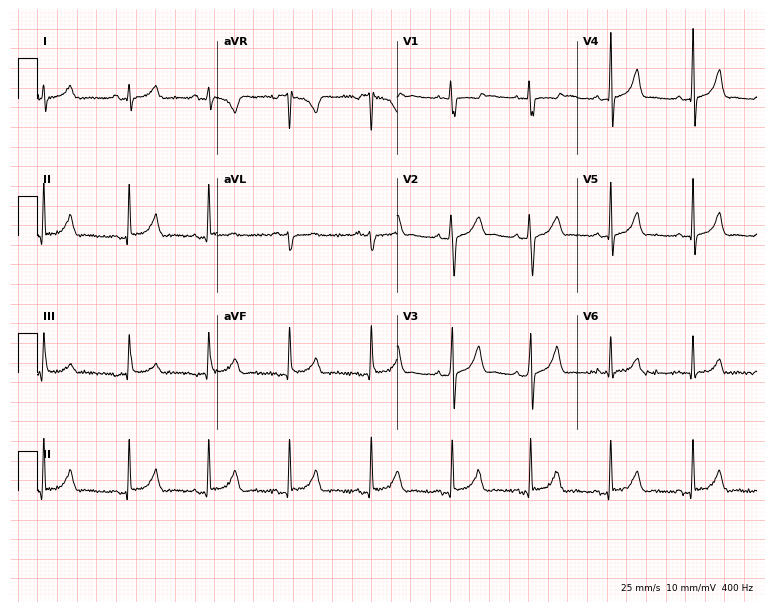
Standard 12-lead ECG recorded from an 18-year-old female patient (7.3-second recording at 400 Hz). None of these six findings is recorded: first-degree AV block, right bundle branch block, left bundle branch block, sinus bradycardia, atrial fibrillation, sinus tachycardia. Other findings, if any, are not listed.